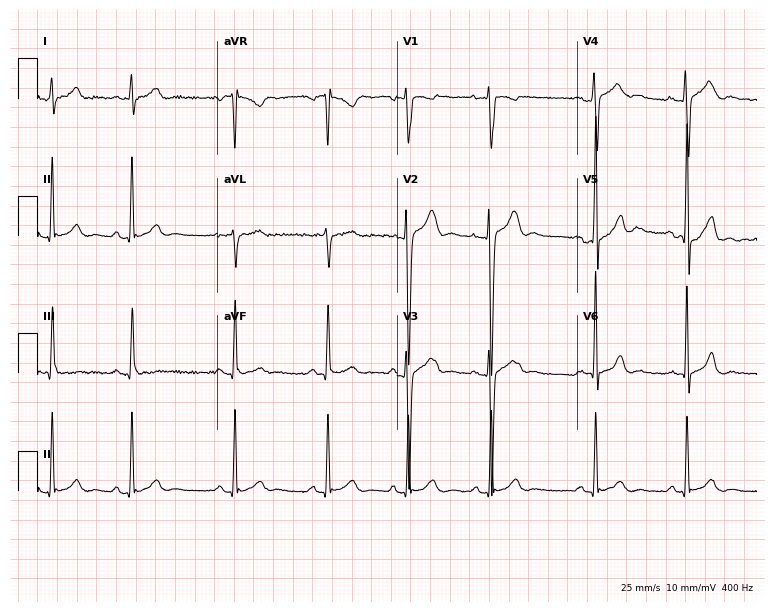
Resting 12-lead electrocardiogram. Patient: a male, 17 years old. None of these six findings is recorded: first-degree AV block, right bundle branch block, left bundle branch block, sinus bradycardia, atrial fibrillation, sinus tachycardia. Findings outside these six are not listed.